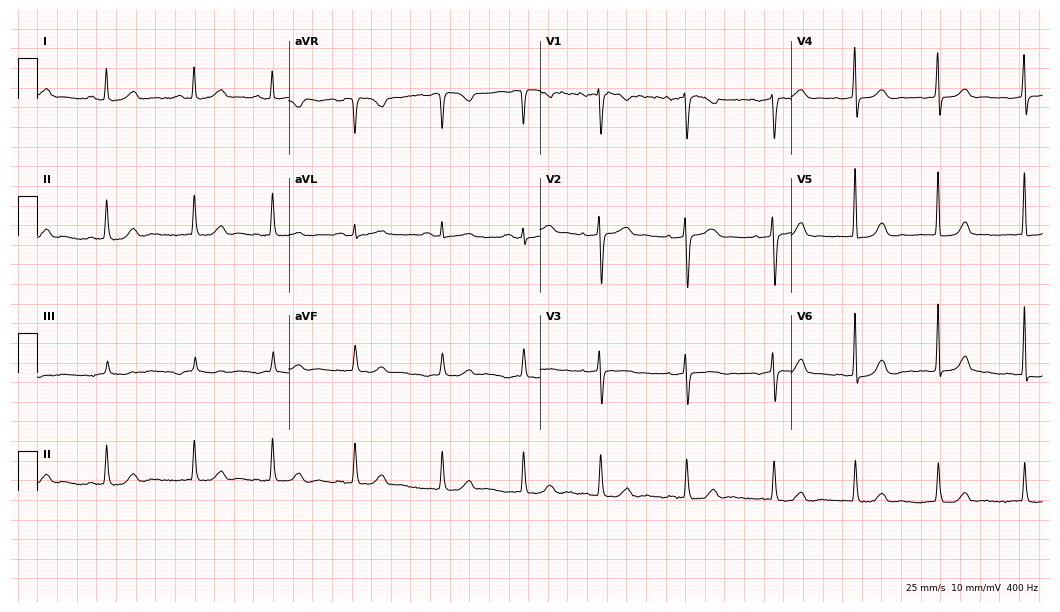
Standard 12-lead ECG recorded from a female, 32 years old (10.2-second recording at 400 Hz). Read as a normal ECG.